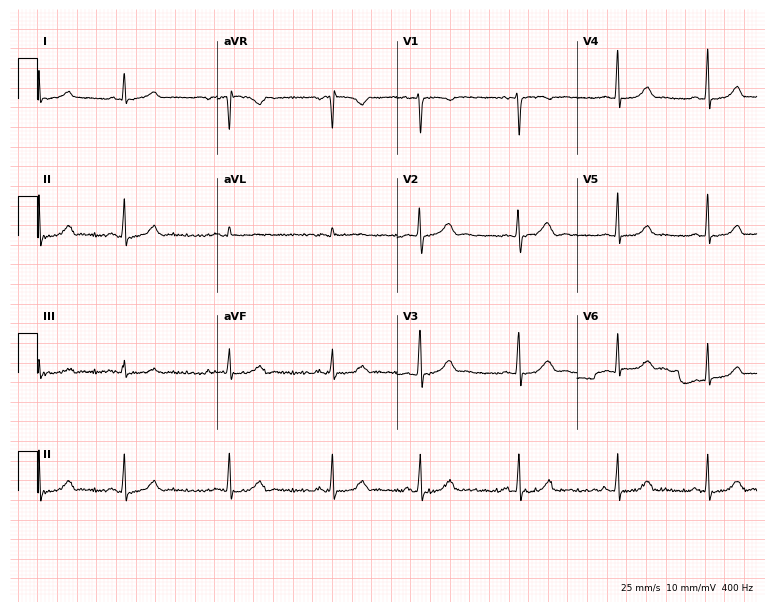
Resting 12-lead electrocardiogram. Patient: a 20-year-old female. Read as a normal ECG.